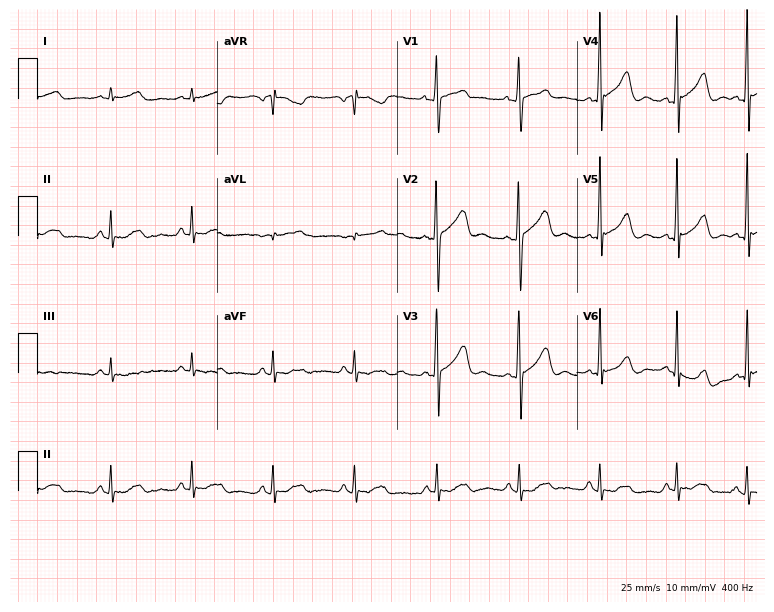
Electrocardiogram, a man, 54 years old. Of the six screened findings (first-degree AV block, right bundle branch block, left bundle branch block, sinus bradycardia, atrial fibrillation, sinus tachycardia), none is recorded. Other findings, if any, are not listed.